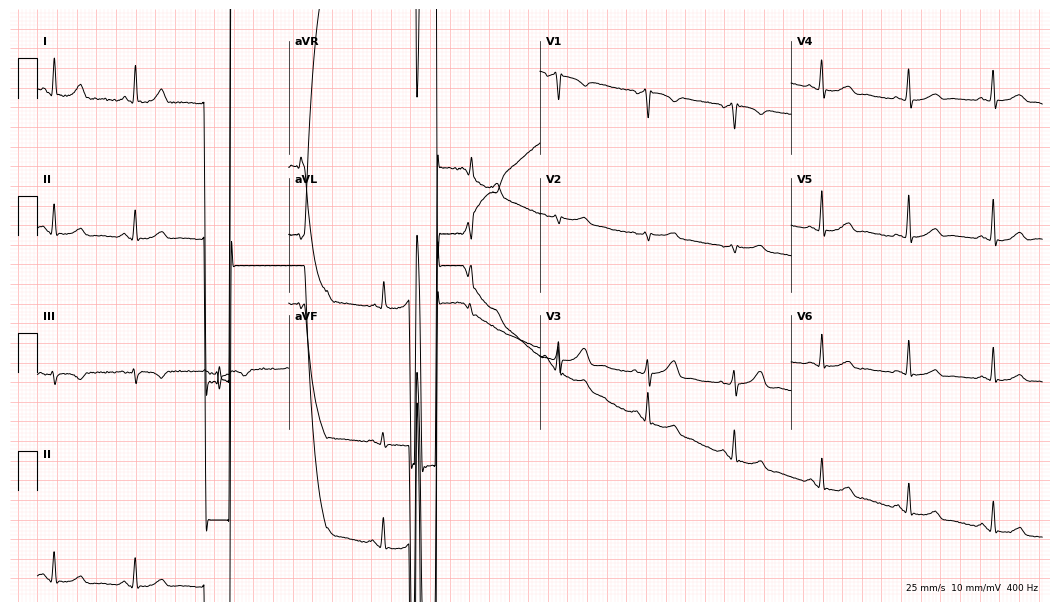
Resting 12-lead electrocardiogram (10.2-second recording at 400 Hz). Patient: a 43-year-old woman. Read as a normal ECG.